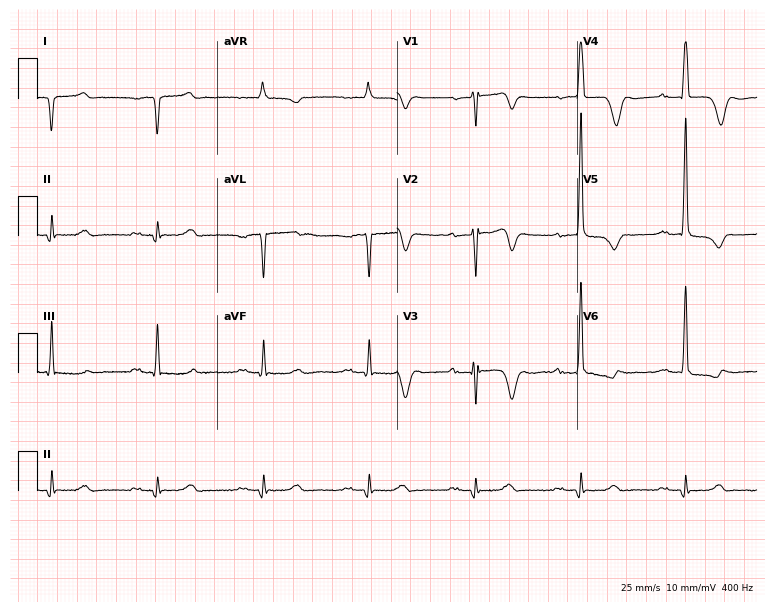
12-lead ECG from a female, 83 years old (7.3-second recording at 400 Hz). No first-degree AV block, right bundle branch block, left bundle branch block, sinus bradycardia, atrial fibrillation or sinus tachycardia recorded for this tracing.